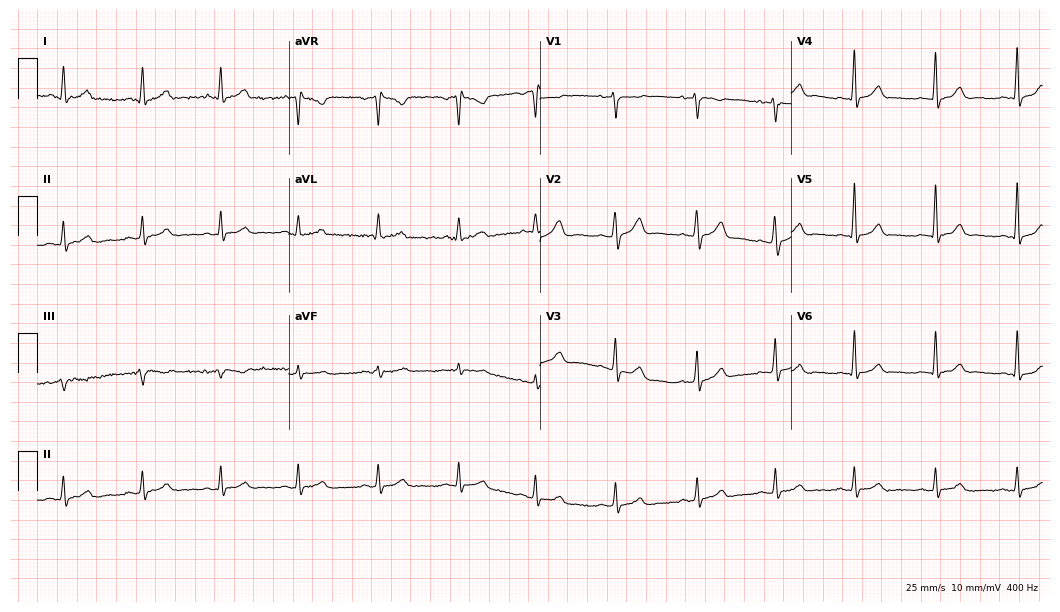
12-lead ECG (10.2-second recording at 400 Hz) from a female, 41 years old. Labelled as a normal ECG.